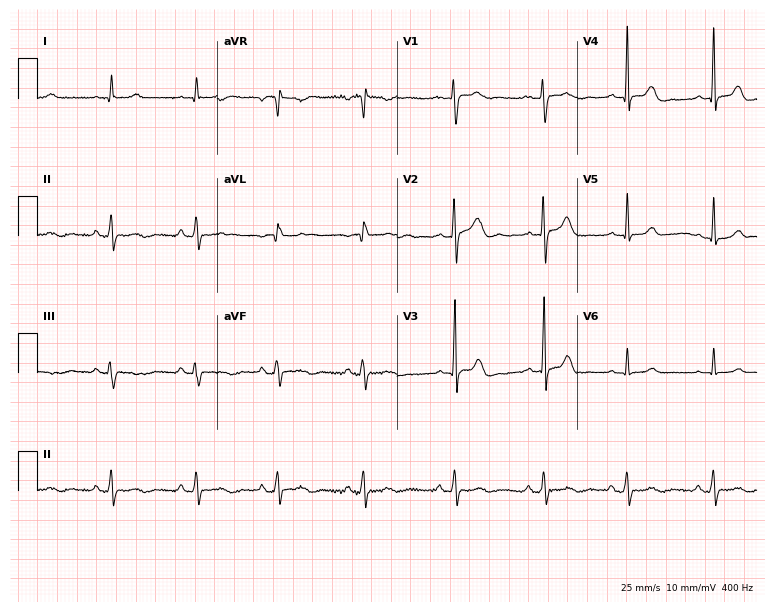
Standard 12-lead ECG recorded from a woman, 34 years old (7.3-second recording at 400 Hz). Read as a normal ECG.